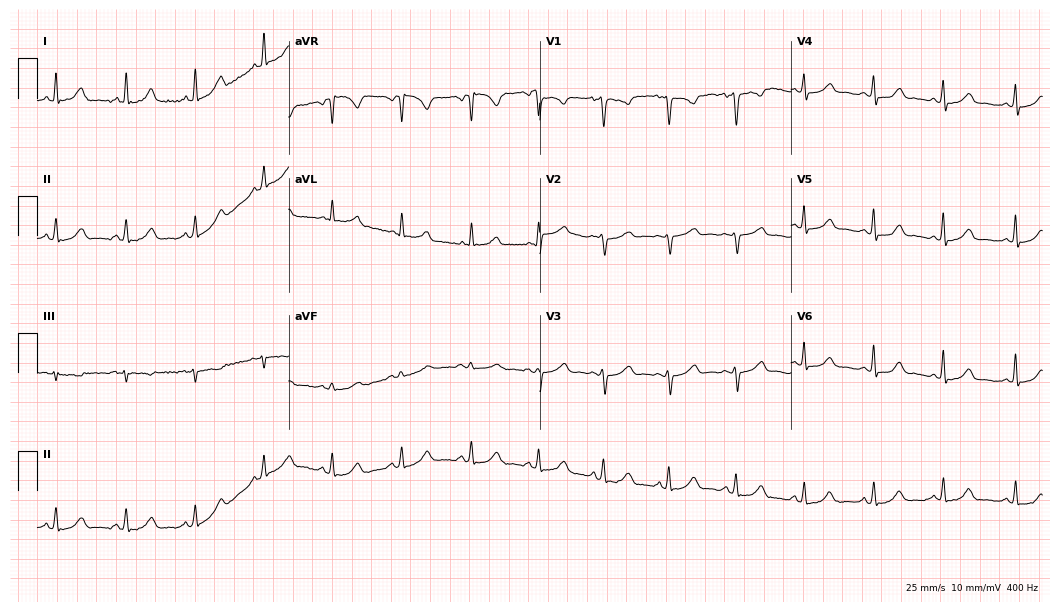
Standard 12-lead ECG recorded from a woman, 47 years old (10.2-second recording at 400 Hz). Read as a normal ECG.